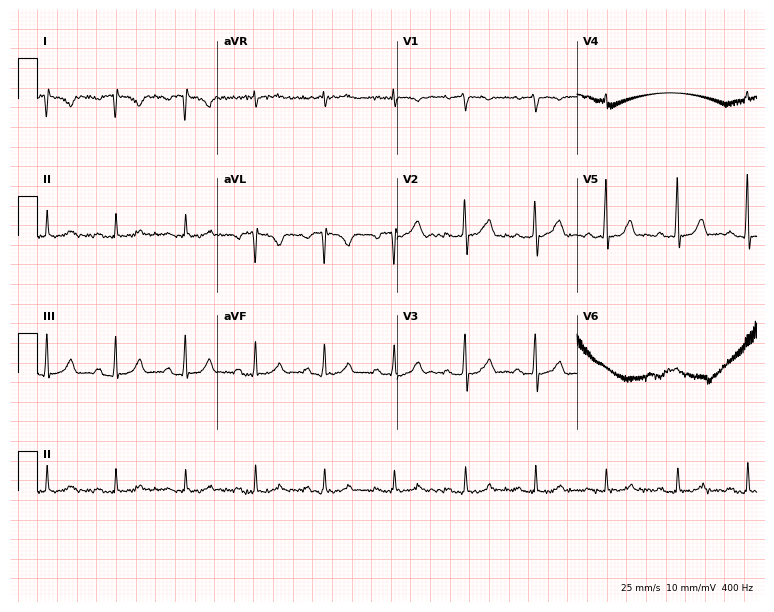
ECG — a female, 53 years old. Screened for six findings — first-degree AV block, right bundle branch block, left bundle branch block, sinus bradycardia, atrial fibrillation, sinus tachycardia — none is recorded.